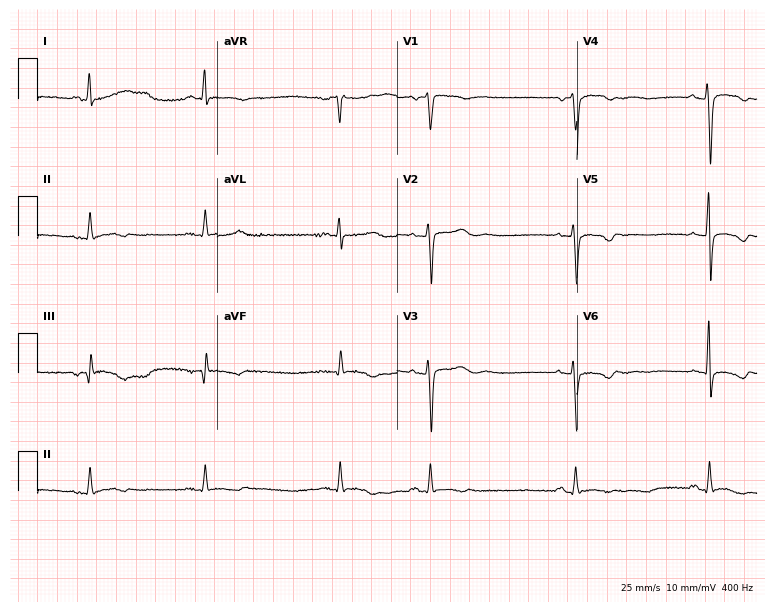
Resting 12-lead electrocardiogram (7.3-second recording at 400 Hz). Patient: a female, 60 years old. None of these six findings is recorded: first-degree AV block, right bundle branch block, left bundle branch block, sinus bradycardia, atrial fibrillation, sinus tachycardia.